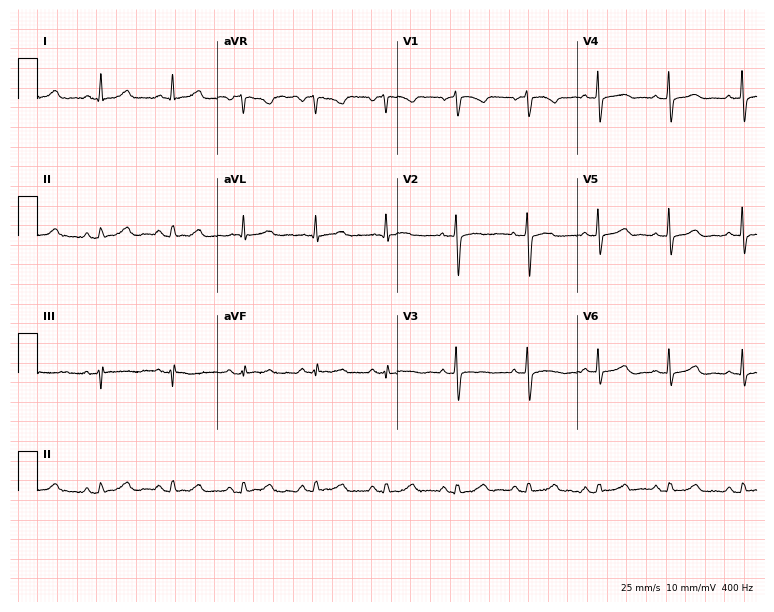
Standard 12-lead ECG recorded from a woman, 50 years old. Read as a normal ECG.